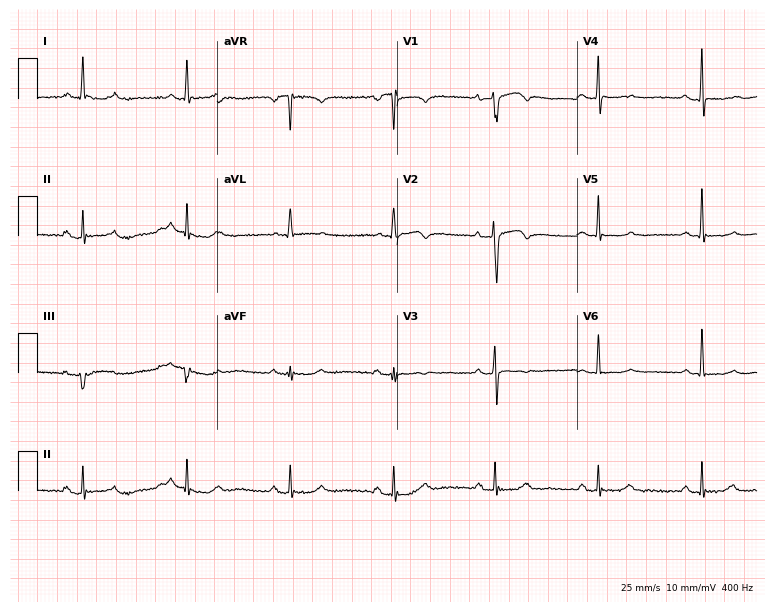
Electrocardiogram, a 66-year-old female patient. Of the six screened findings (first-degree AV block, right bundle branch block (RBBB), left bundle branch block (LBBB), sinus bradycardia, atrial fibrillation (AF), sinus tachycardia), none is recorded. Only these six findings were labelled.